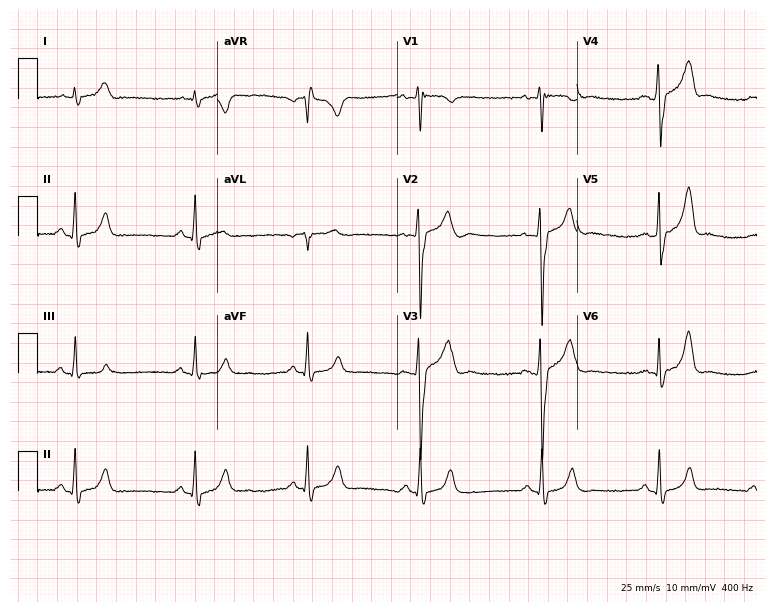
Resting 12-lead electrocardiogram. Patient: a male, 24 years old. The tracing shows right bundle branch block.